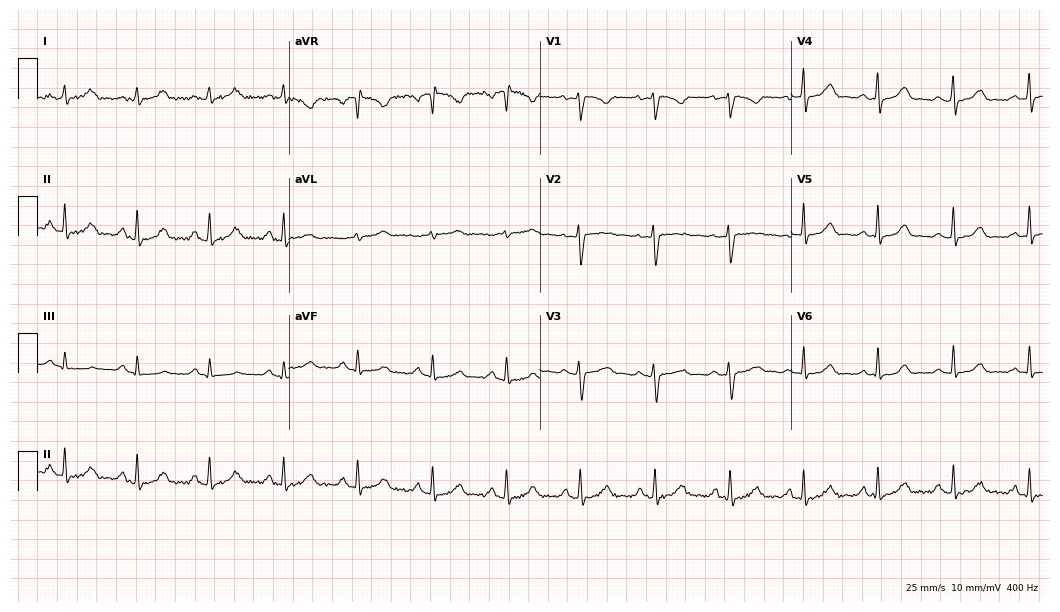
ECG — a 43-year-old woman. Labelled as a normal ECG.